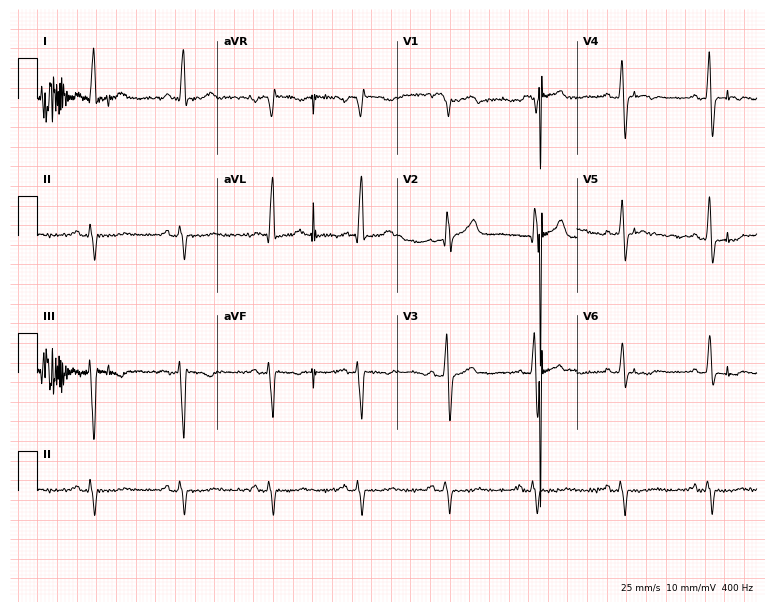
12-lead ECG from a male, 60 years old. Screened for six findings — first-degree AV block, right bundle branch block, left bundle branch block, sinus bradycardia, atrial fibrillation, sinus tachycardia — none is recorded. Only these six findings were labelled.